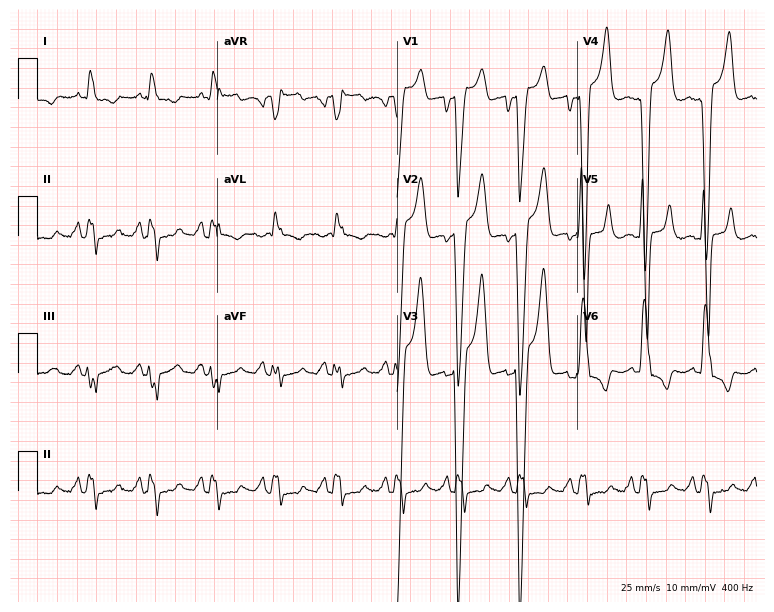
12-lead ECG (7.3-second recording at 400 Hz) from a 55-year-old male. Findings include left bundle branch block.